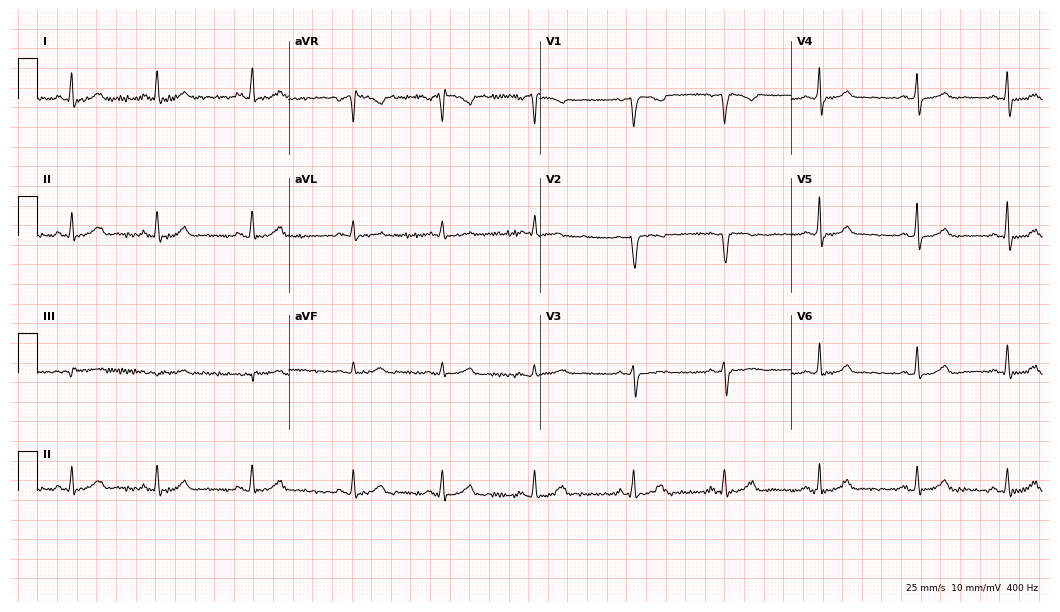
Resting 12-lead electrocardiogram. Patient: a woman, 44 years old. Read as a normal ECG.